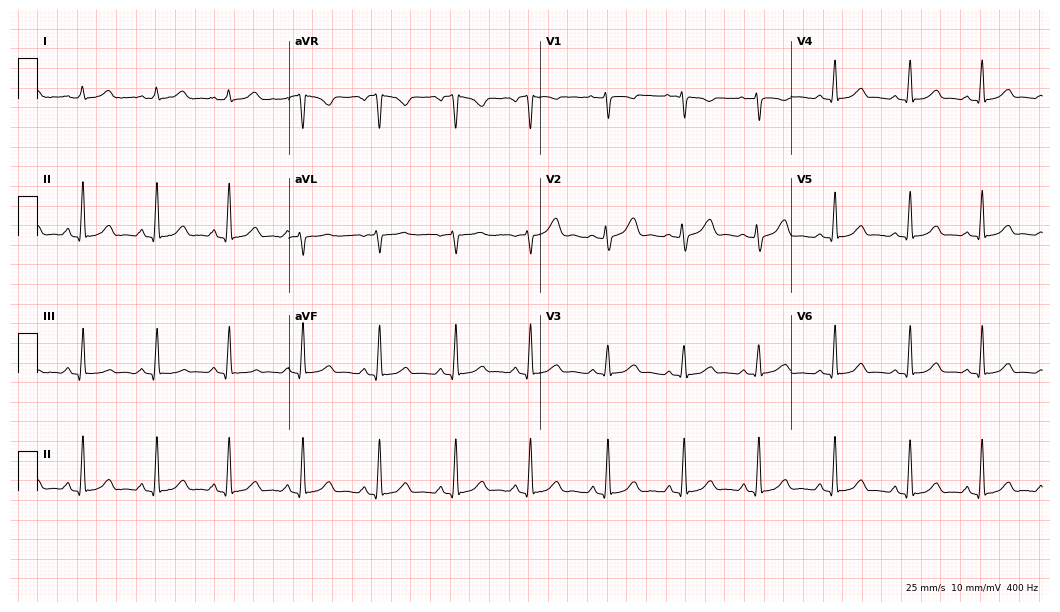
12-lead ECG from a female, 31 years old. Labelled as a normal ECG.